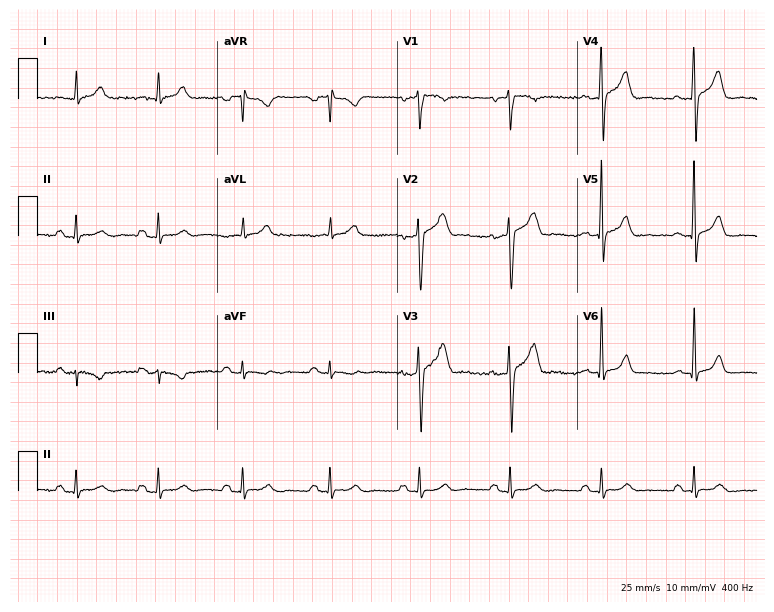
Electrocardiogram (7.3-second recording at 400 Hz), a man, 40 years old. Overall reading on record: normal ECG.